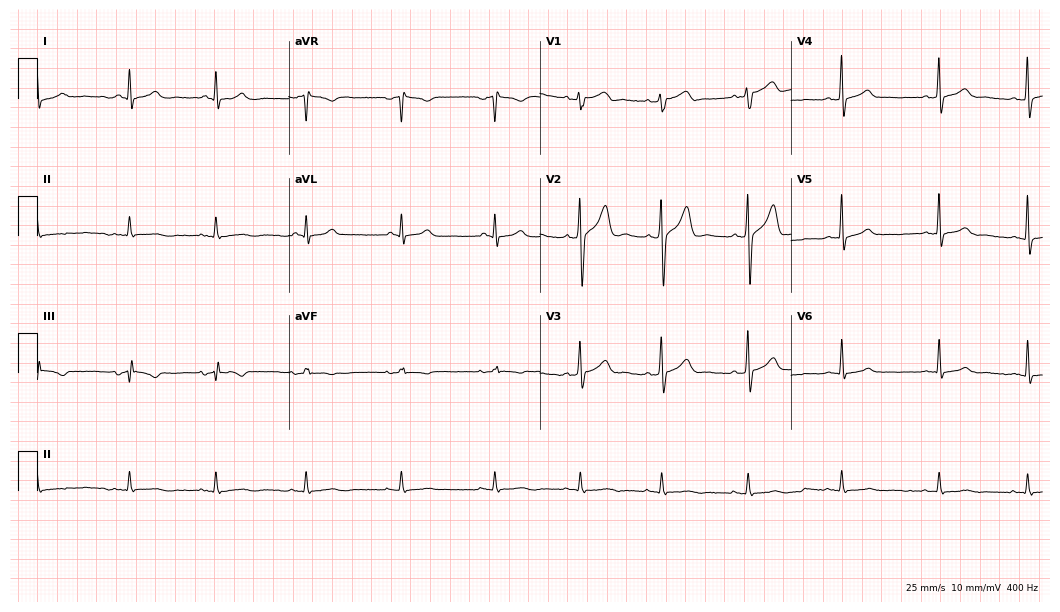
12-lead ECG from a 40-year-old man. Recorded interpretation: within normal limits.